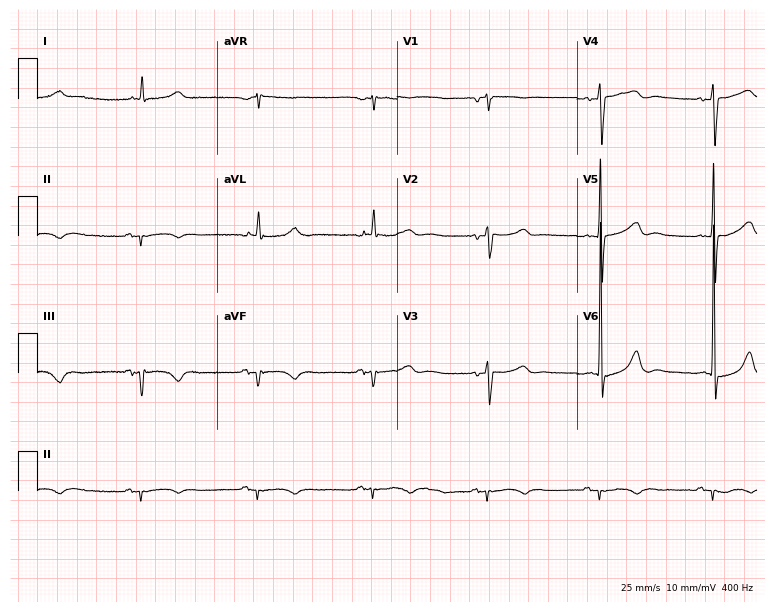
12-lead ECG from a male, 85 years old. No first-degree AV block, right bundle branch block, left bundle branch block, sinus bradycardia, atrial fibrillation or sinus tachycardia recorded for this tracing.